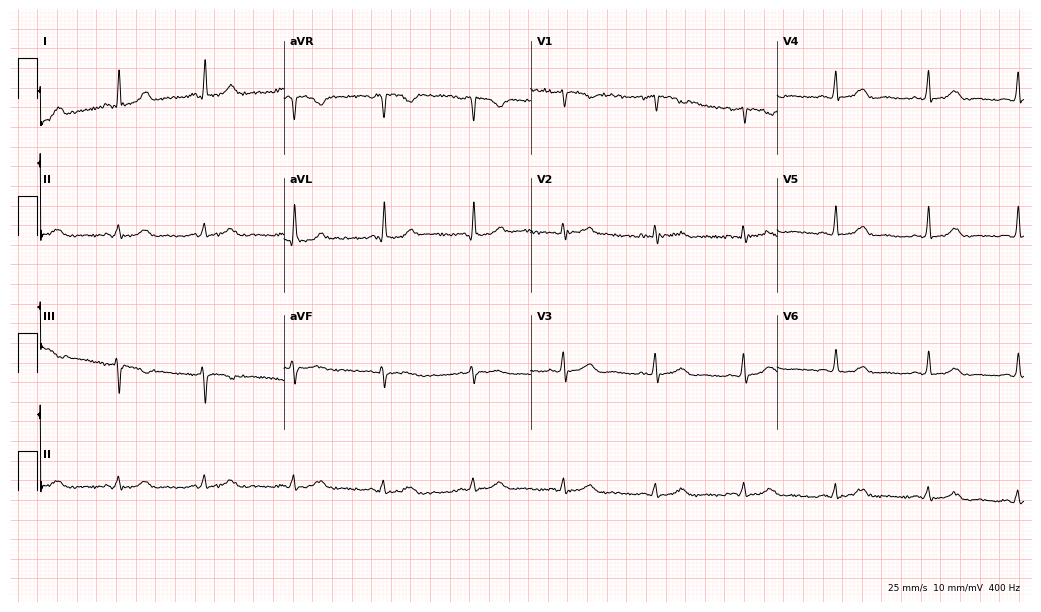
12-lead ECG (10.1-second recording at 400 Hz) from a 63-year-old woman. Labelled as a normal ECG.